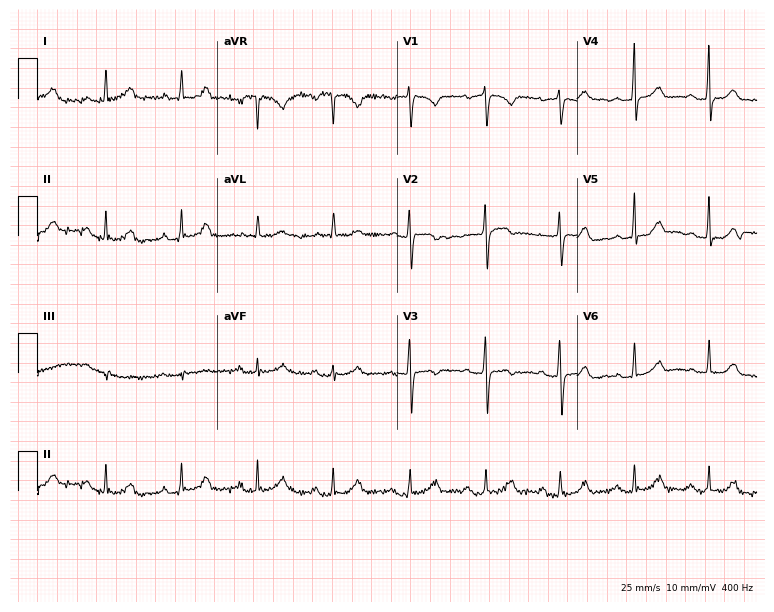
12-lead ECG from a female, 73 years old. Screened for six findings — first-degree AV block, right bundle branch block, left bundle branch block, sinus bradycardia, atrial fibrillation, sinus tachycardia — none is recorded.